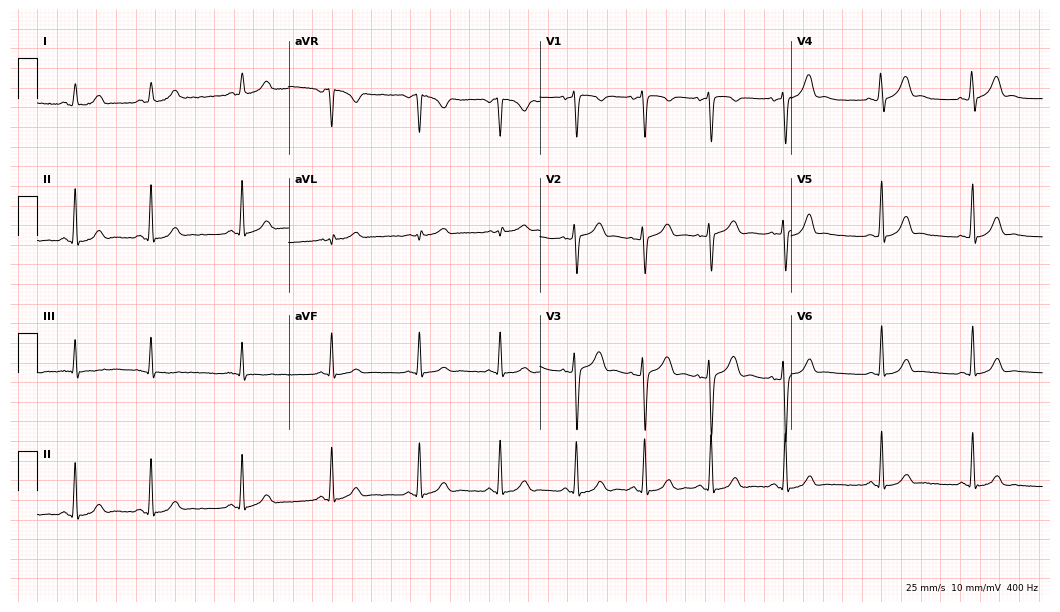
ECG — a female patient, 26 years old. Labelled as a normal ECG.